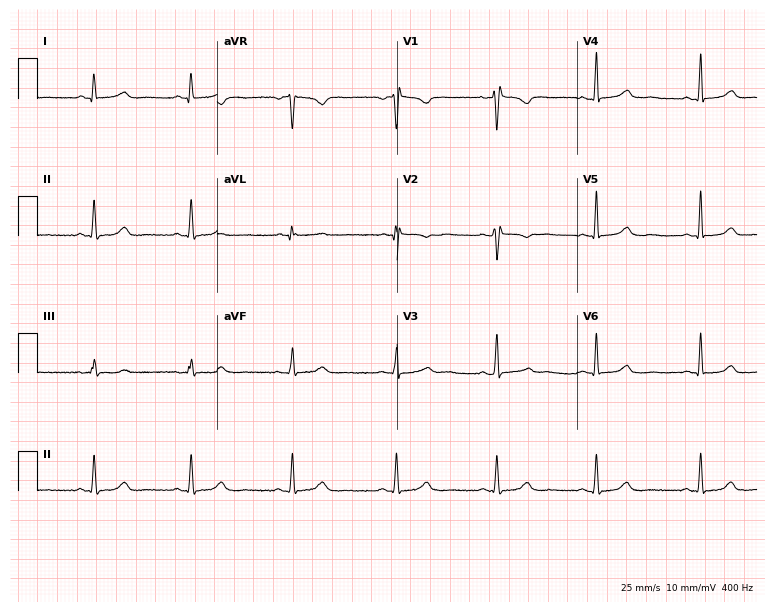
ECG (7.3-second recording at 400 Hz) — a female patient, 33 years old. Screened for six findings — first-degree AV block, right bundle branch block, left bundle branch block, sinus bradycardia, atrial fibrillation, sinus tachycardia — none is recorded.